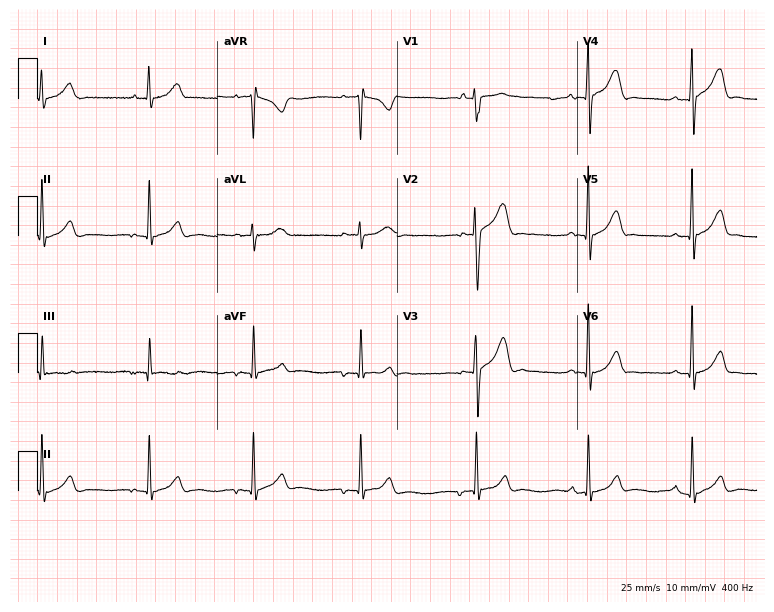
12-lead ECG from a male patient, 29 years old. Screened for six findings — first-degree AV block, right bundle branch block (RBBB), left bundle branch block (LBBB), sinus bradycardia, atrial fibrillation (AF), sinus tachycardia — none is recorded. Findings outside these six are not listed.